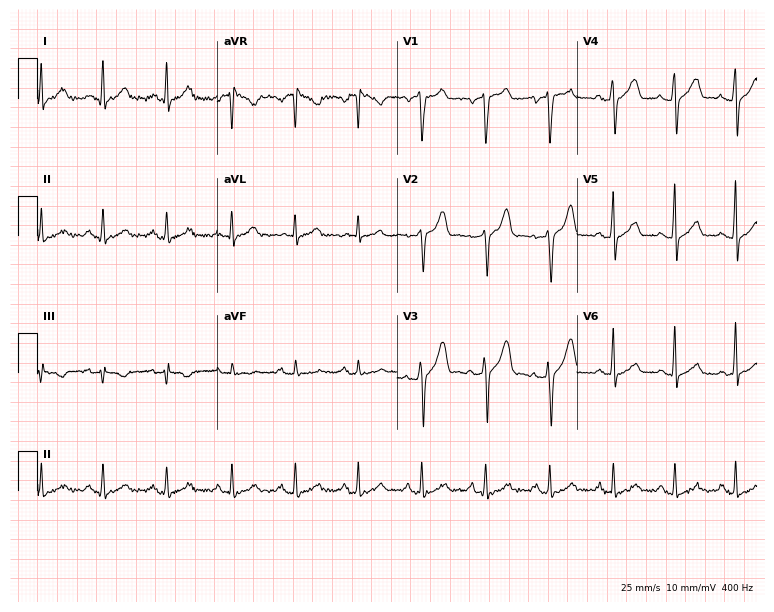
12-lead ECG from a male, 39 years old (7.3-second recording at 400 Hz). No first-degree AV block, right bundle branch block, left bundle branch block, sinus bradycardia, atrial fibrillation or sinus tachycardia recorded for this tracing.